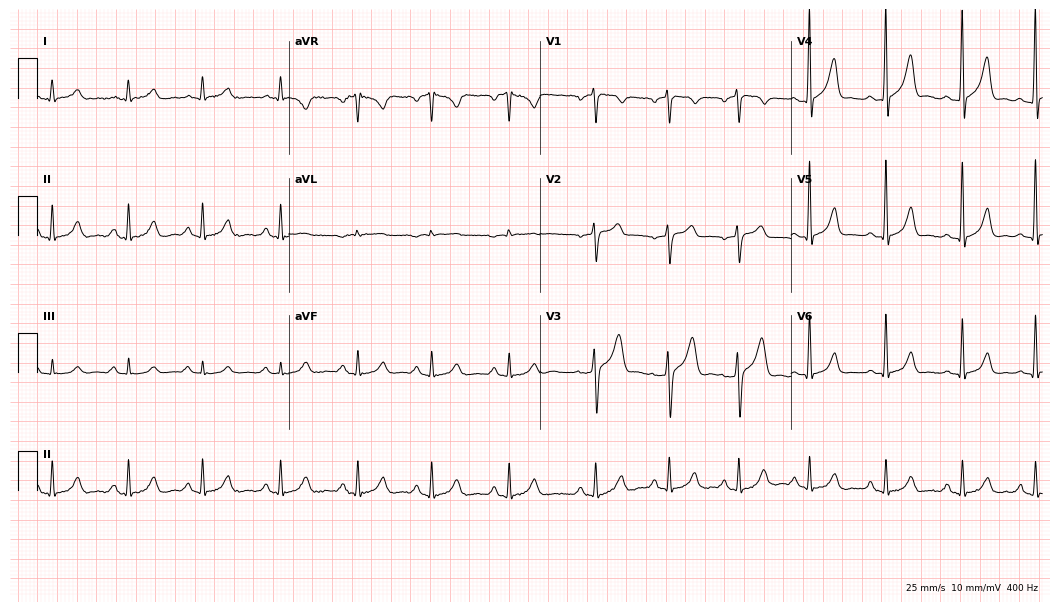
ECG — a male, 26 years old. Labelled as a normal ECG.